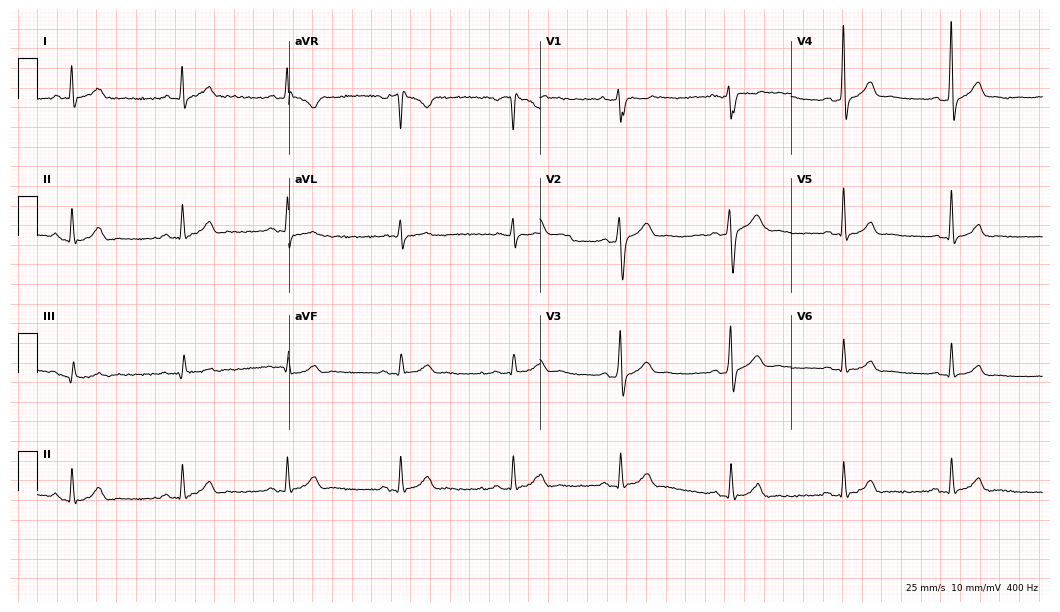
Standard 12-lead ECG recorded from a 48-year-old male (10.2-second recording at 400 Hz). Read as a normal ECG.